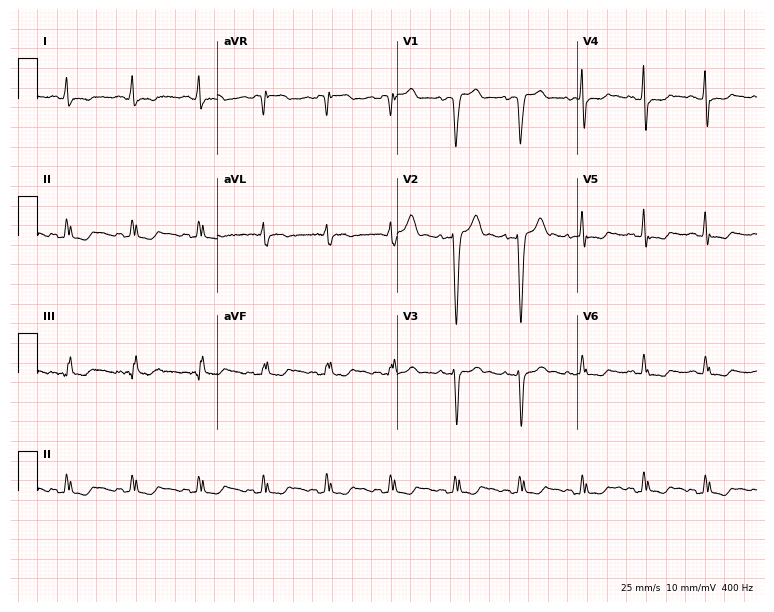
Resting 12-lead electrocardiogram. Patient: a female, 44 years old. None of these six findings is recorded: first-degree AV block, right bundle branch block (RBBB), left bundle branch block (LBBB), sinus bradycardia, atrial fibrillation (AF), sinus tachycardia.